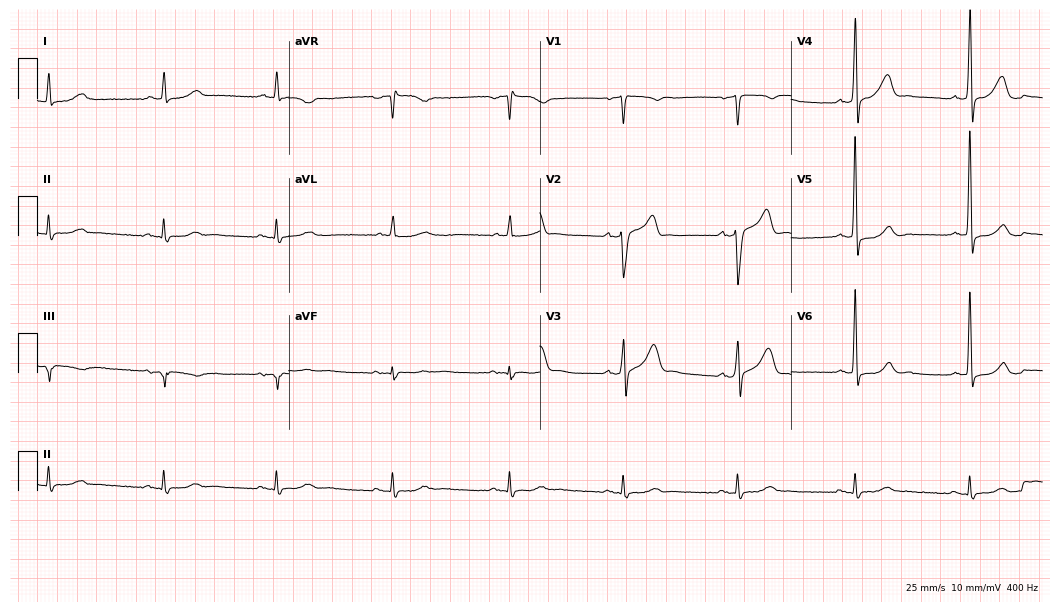
ECG (10.2-second recording at 400 Hz) — a male patient, 64 years old. Findings include sinus bradycardia (a sinus rate of 50 beats per minute or less).